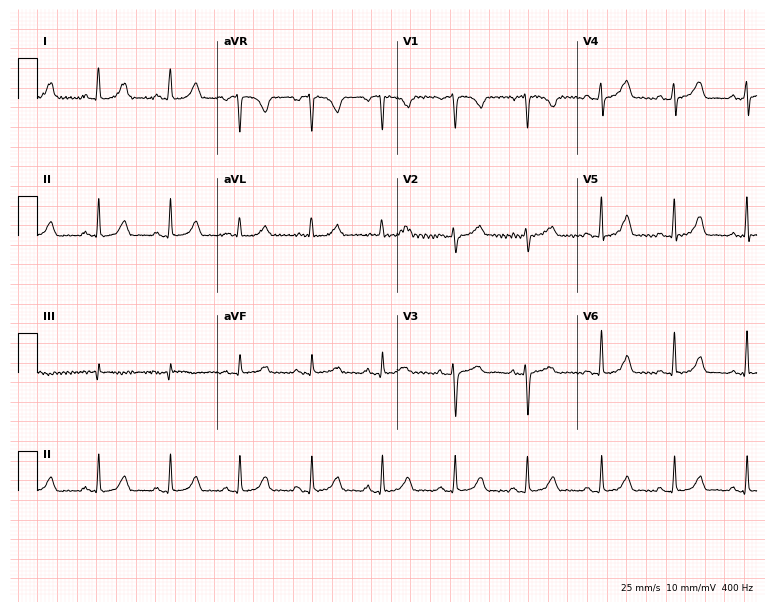
12-lead ECG (7.3-second recording at 400 Hz) from a 41-year-old female. Labelled as a normal ECG.